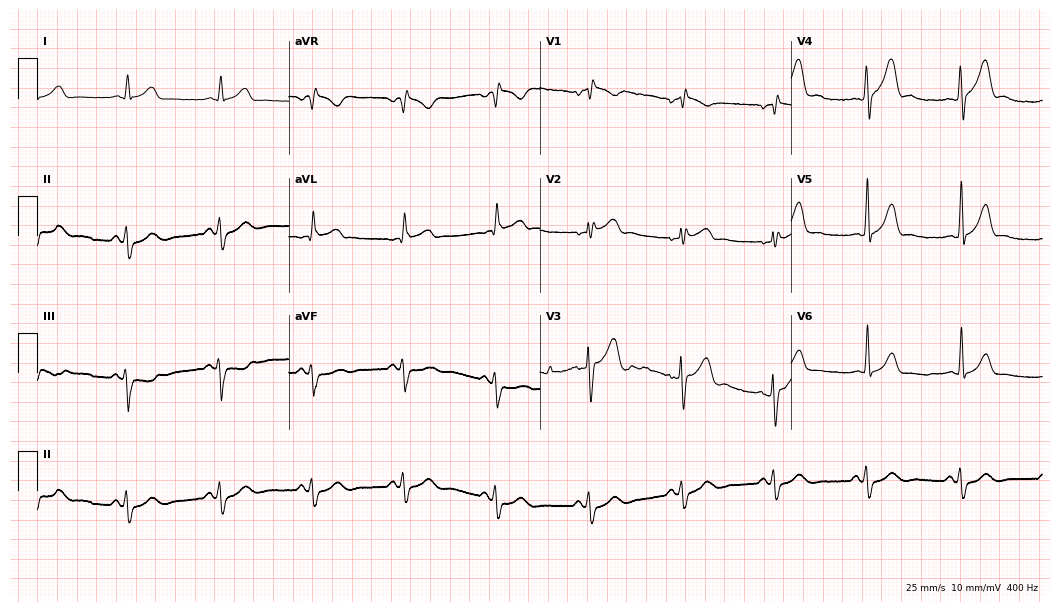
Electrocardiogram (10.2-second recording at 400 Hz), a male, 40 years old. Of the six screened findings (first-degree AV block, right bundle branch block, left bundle branch block, sinus bradycardia, atrial fibrillation, sinus tachycardia), none is recorded.